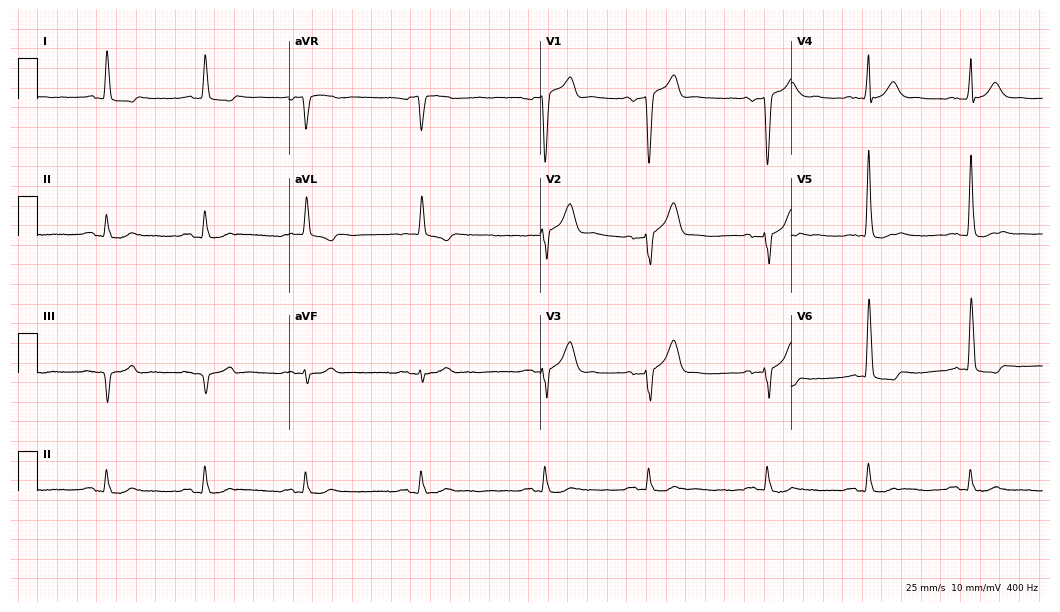
Electrocardiogram (10.2-second recording at 400 Hz), a 77-year-old male. Of the six screened findings (first-degree AV block, right bundle branch block, left bundle branch block, sinus bradycardia, atrial fibrillation, sinus tachycardia), none is recorded.